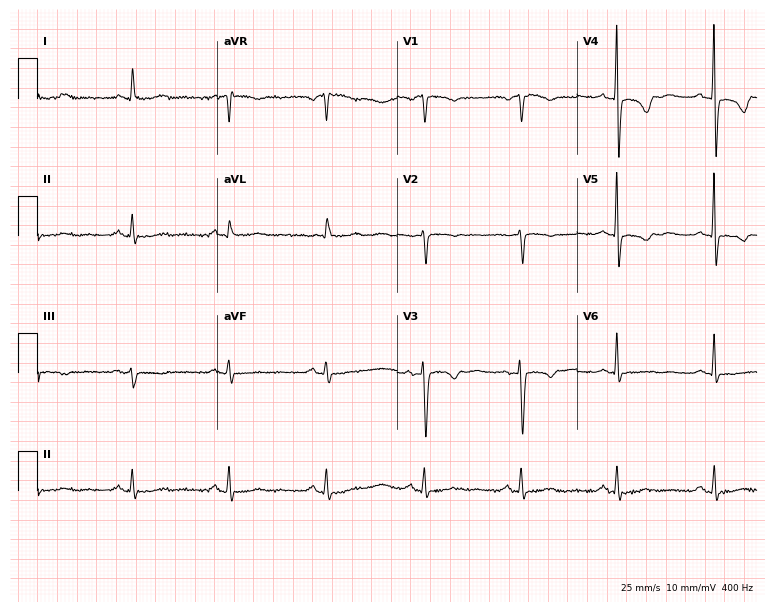
12-lead ECG from a 50-year-old female patient. Screened for six findings — first-degree AV block, right bundle branch block, left bundle branch block, sinus bradycardia, atrial fibrillation, sinus tachycardia — none is recorded.